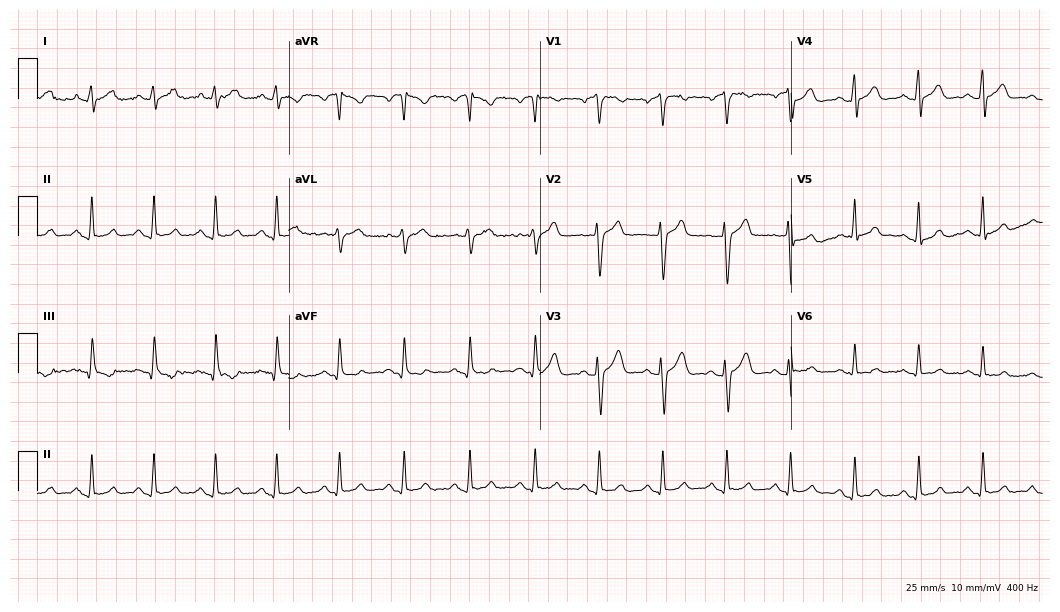
Standard 12-lead ECG recorded from a 37-year-old male. Read as a normal ECG.